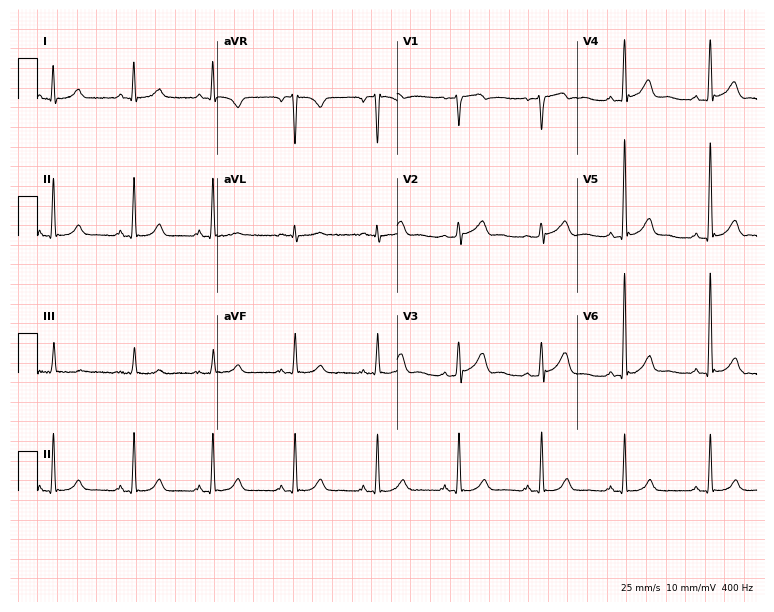
Resting 12-lead electrocardiogram (7.3-second recording at 400 Hz). Patient: a male, 58 years old. Read as a normal ECG.